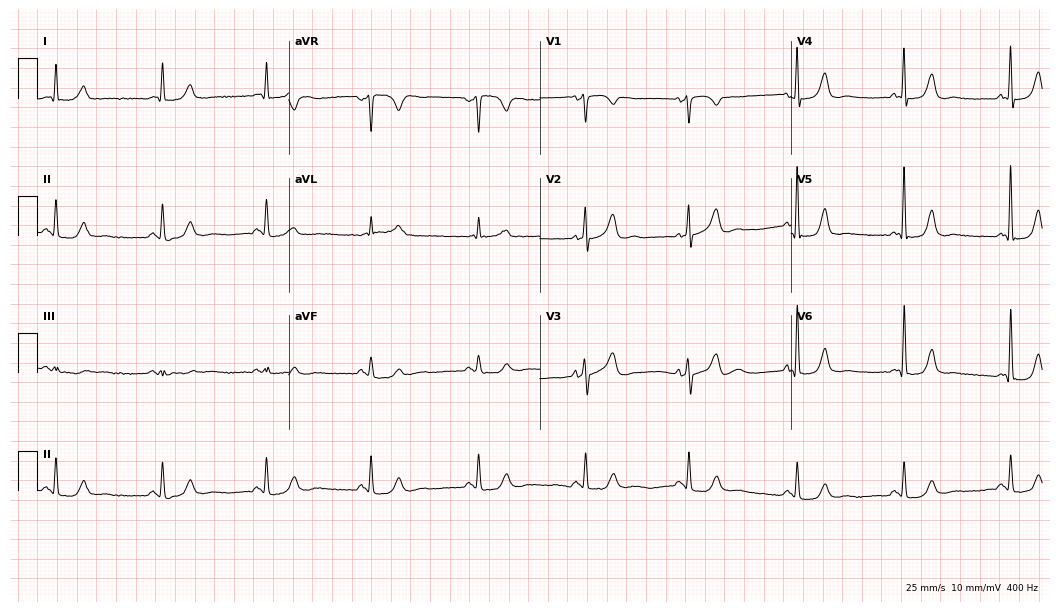
12-lead ECG from a female patient, 76 years old. No first-degree AV block, right bundle branch block, left bundle branch block, sinus bradycardia, atrial fibrillation or sinus tachycardia recorded for this tracing.